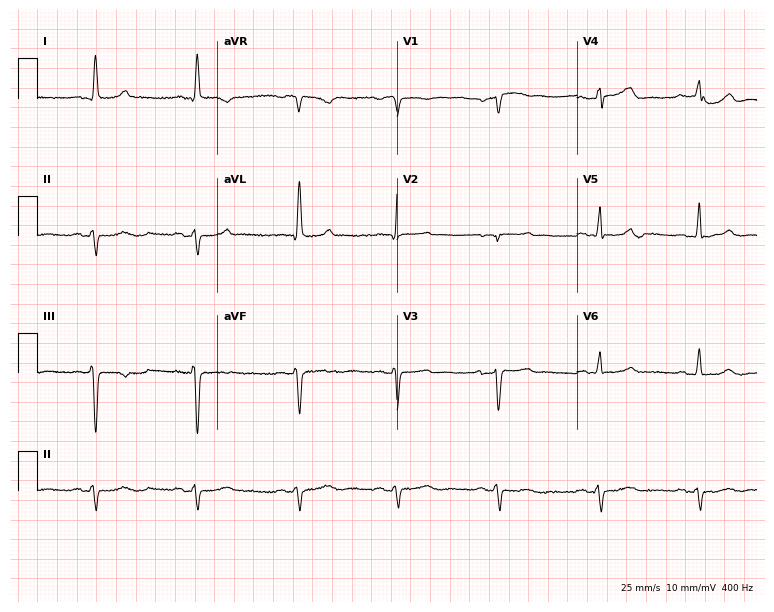
Resting 12-lead electrocardiogram. Patient: a 66-year-old female. None of these six findings is recorded: first-degree AV block, right bundle branch block, left bundle branch block, sinus bradycardia, atrial fibrillation, sinus tachycardia.